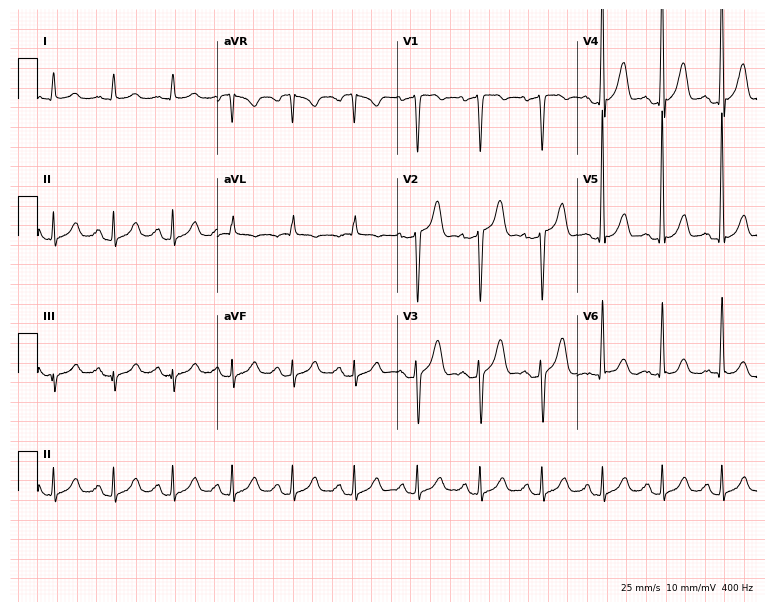
Standard 12-lead ECG recorded from a 31-year-old man (7.3-second recording at 400 Hz). Read as a normal ECG.